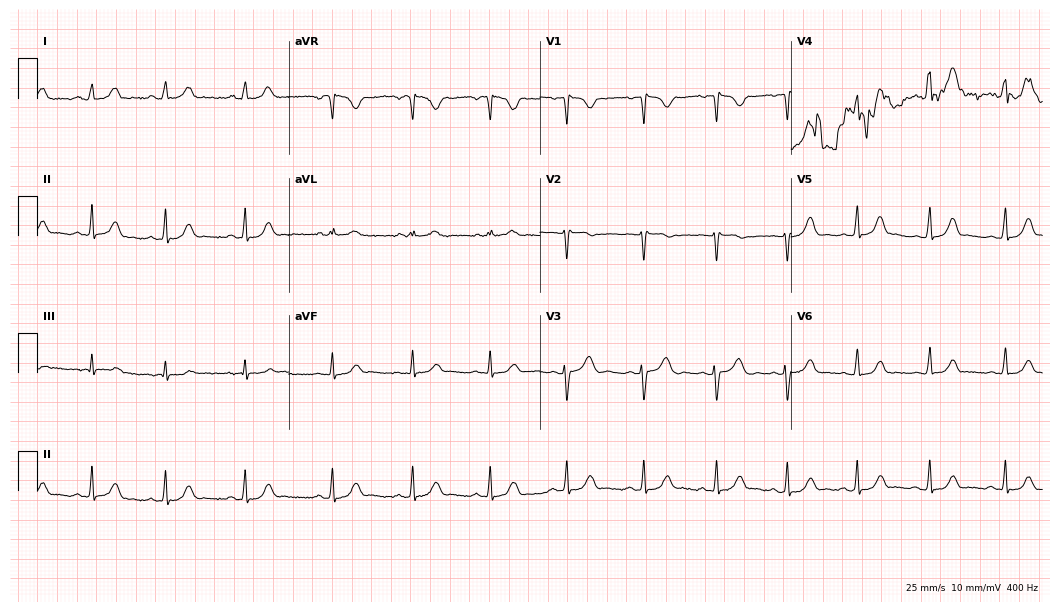
12-lead ECG from a 24-year-old female patient. Recorded interpretation: within normal limits.